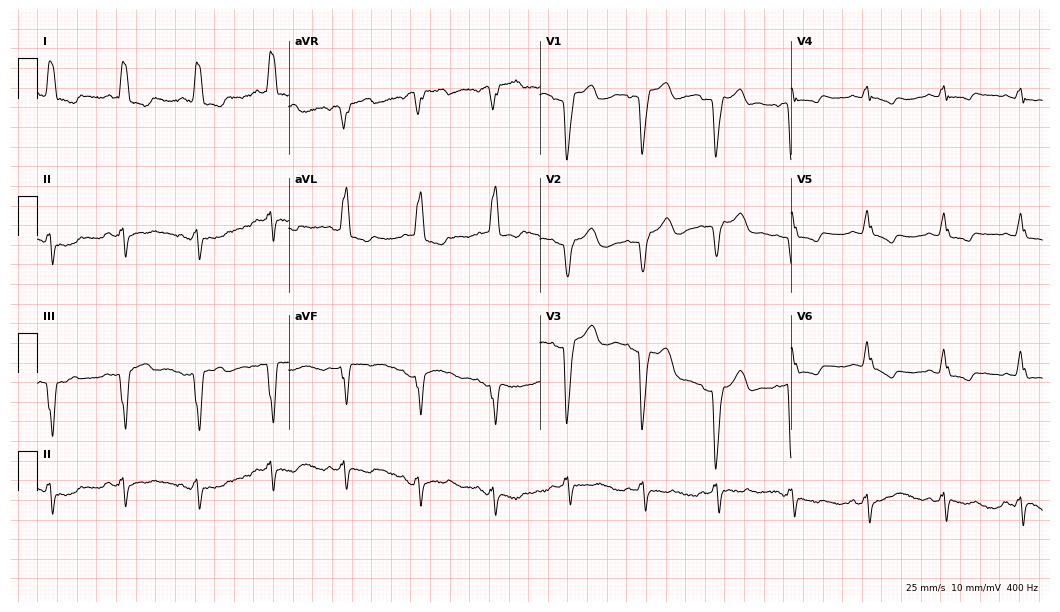
ECG (10.2-second recording at 400 Hz) — a female patient, 73 years old. Findings include left bundle branch block (LBBB).